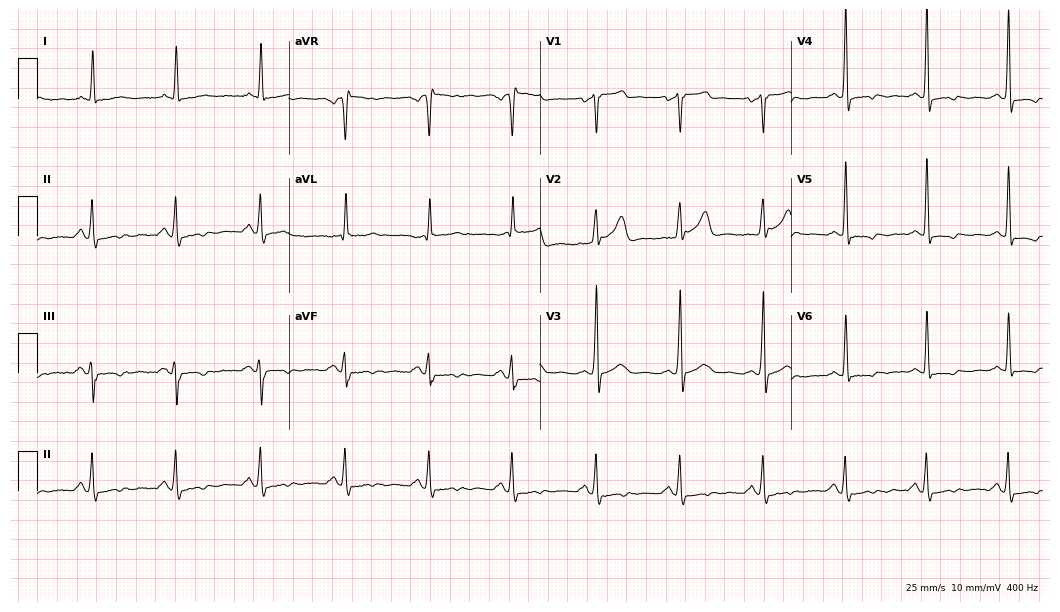
12-lead ECG from a male patient, 49 years old. No first-degree AV block, right bundle branch block, left bundle branch block, sinus bradycardia, atrial fibrillation or sinus tachycardia recorded for this tracing. Only these six findings were labelled.